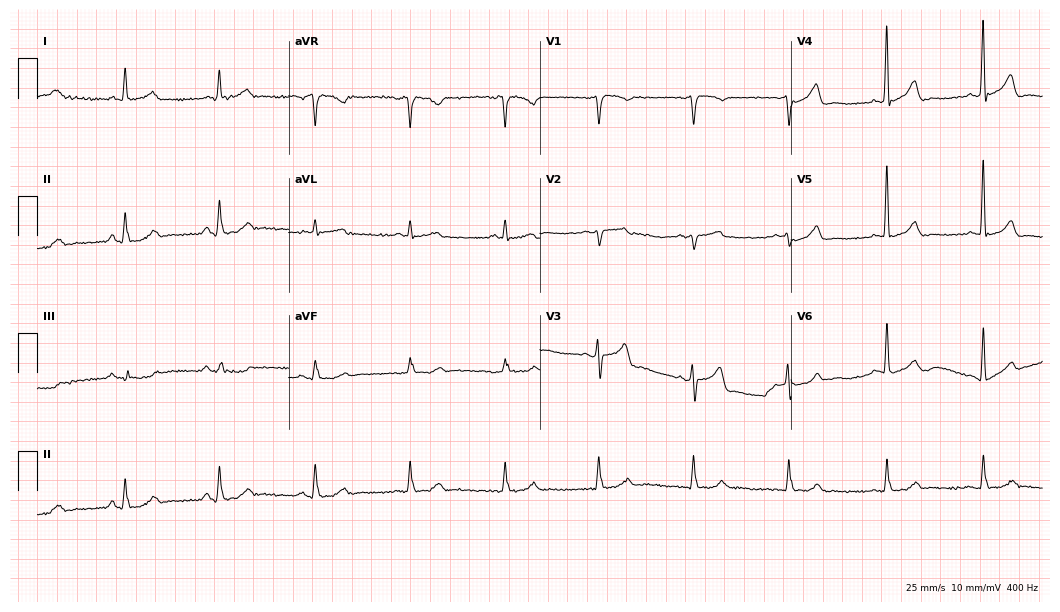
12-lead ECG from a 71-year-old male patient (10.2-second recording at 400 Hz). Recorded interpretation: within normal limits.